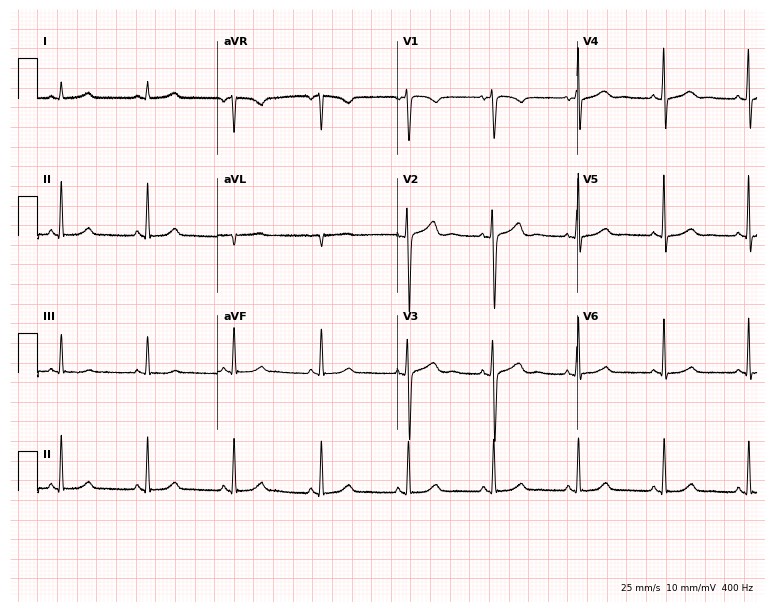
12-lead ECG (7.3-second recording at 400 Hz) from a 31-year-old man. Screened for six findings — first-degree AV block, right bundle branch block, left bundle branch block, sinus bradycardia, atrial fibrillation, sinus tachycardia — none is recorded.